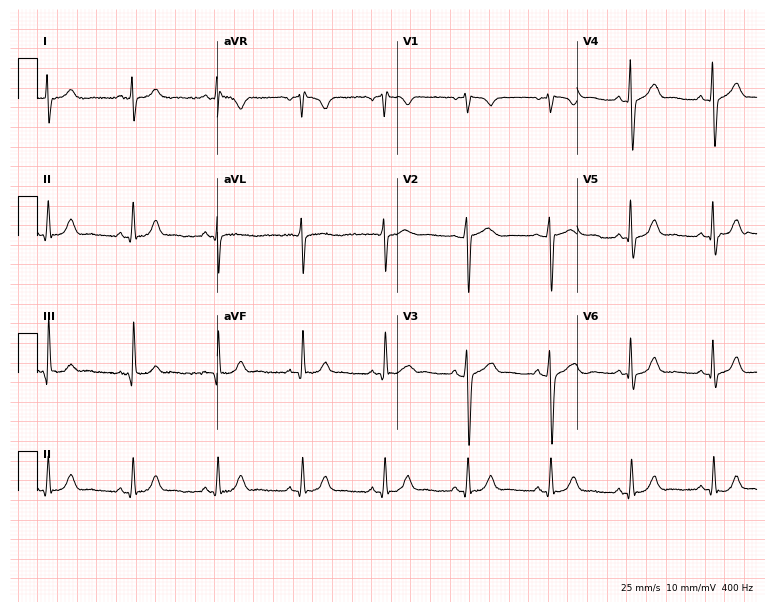
ECG — a 49-year-old male patient. Labelled as a normal ECG.